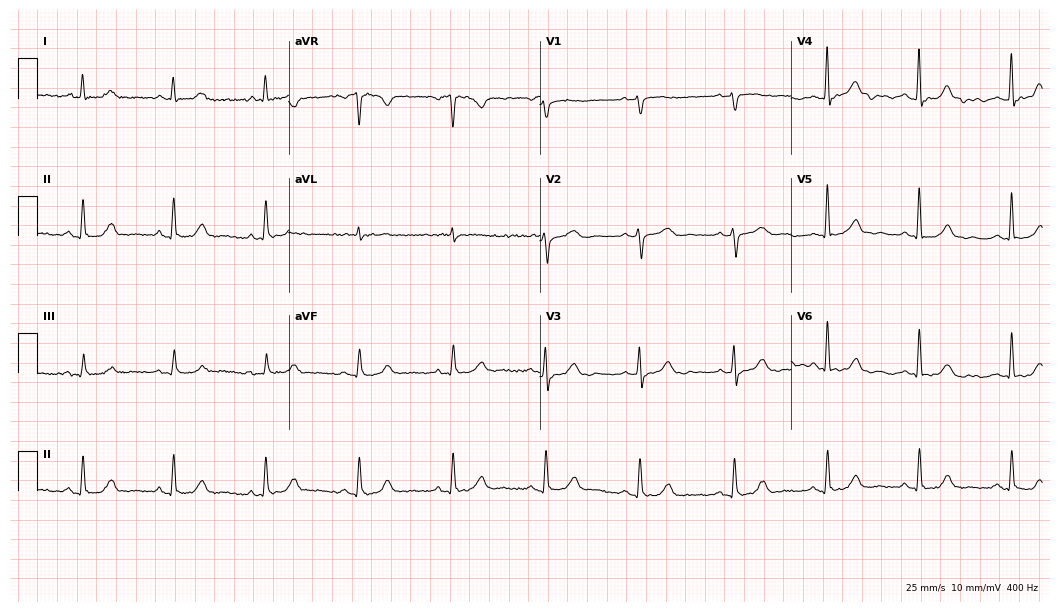
12-lead ECG (10.2-second recording at 400 Hz) from a 62-year-old female. Labelled as a normal ECG.